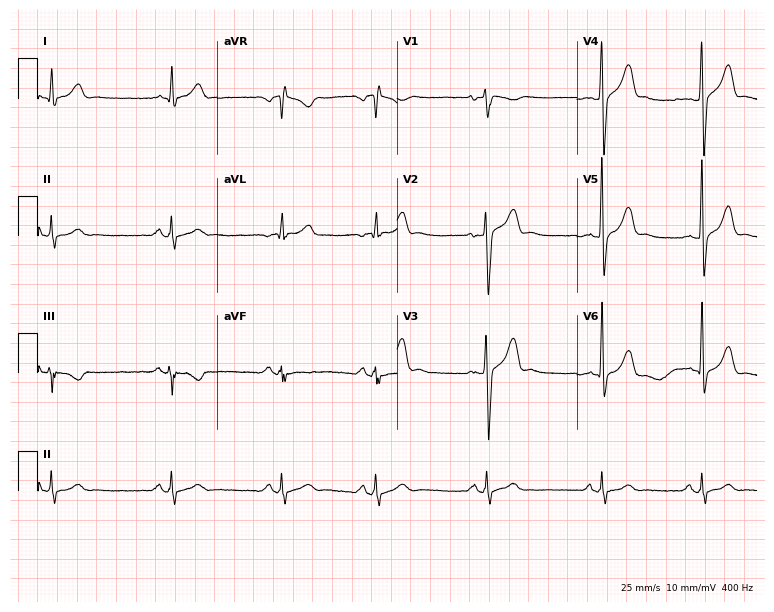
Electrocardiogram (7.3-second recording at 400 Hz), a male, 24 years old. Of the six screened findings (first-degree AV block, right bundle branch block, left bundle branch block, sinus bradycardia, atrial fibrillation, sinus tachycardia), none is recorded. Only these six findings were labelled.